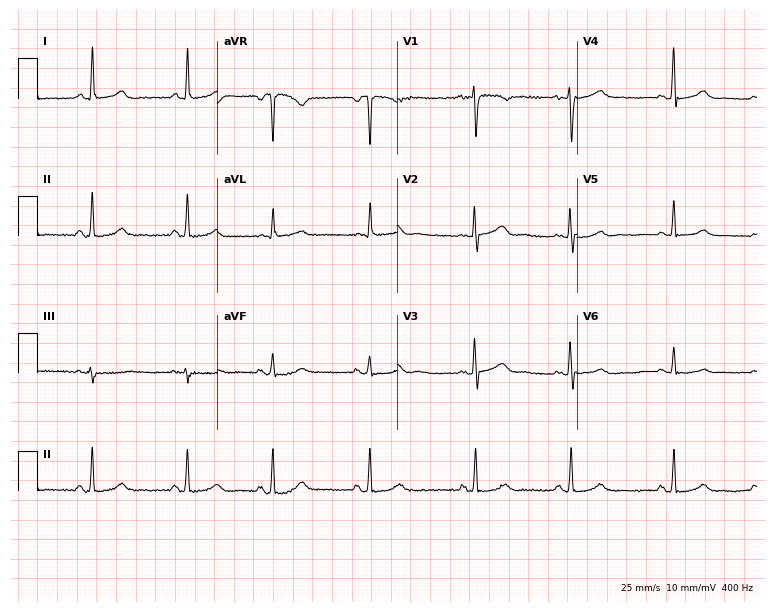
Resting 12-lead electrocardiogram. Patient: a female, 29 years old. None of these six findings is recorded: first-degree AV block, right bundle branch block (RBBB), left bundle branch block (LBBB), sinus bradycardia, atrial fibrillation (AF), sinus tachycardia.